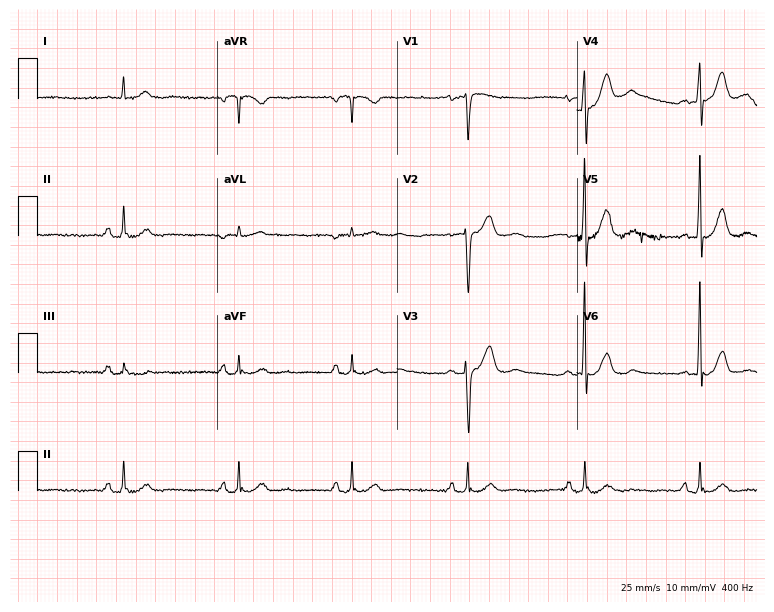
ECG (7.3-second recording at 400 Hz) — a female patient, 79 years old. Labelled as a normal ECG.